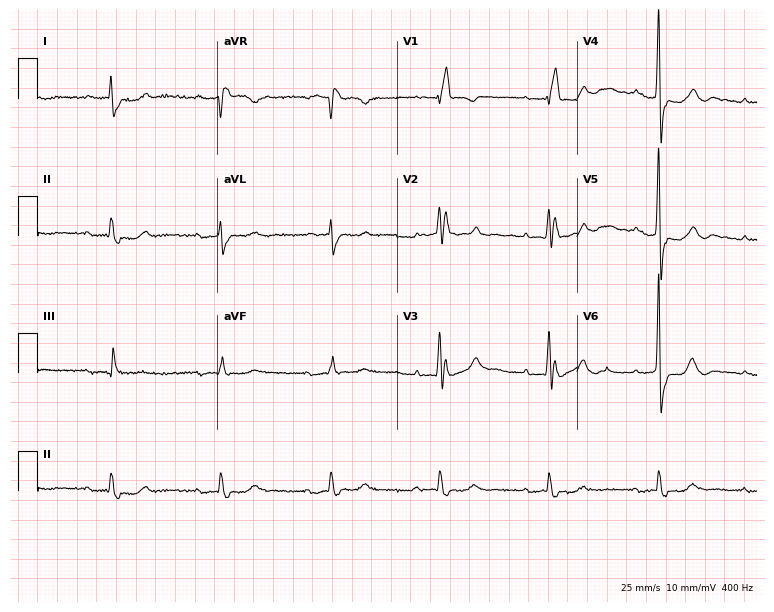
12-lead ECG from a male, 81 years old. Shows first-degree AV block, right bundle branch block.